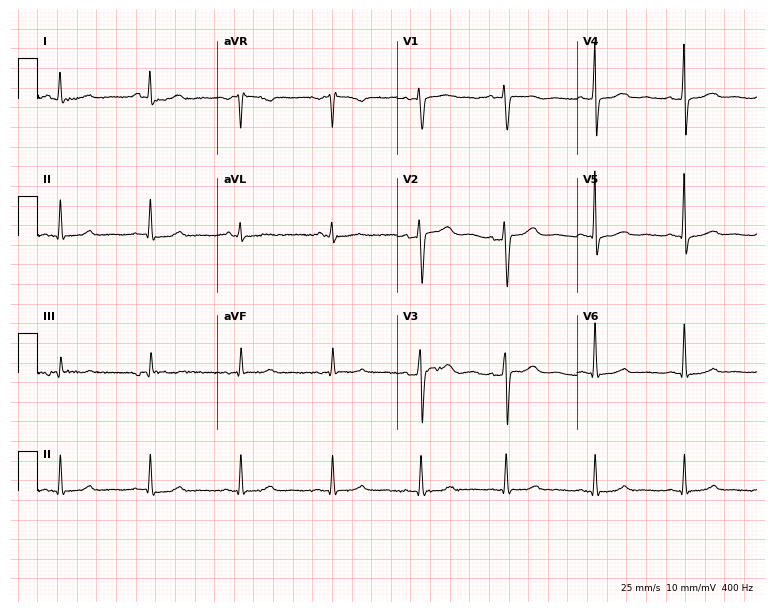
12-lead ECG from a female patient, 42 years old. No first-degree AV block, right bundle branch block (RBBB), left bundle branch block (LBBB), sinus bradycardia, atrial fibrillation (AF) or sinus tachycardia recorded for this tracing.